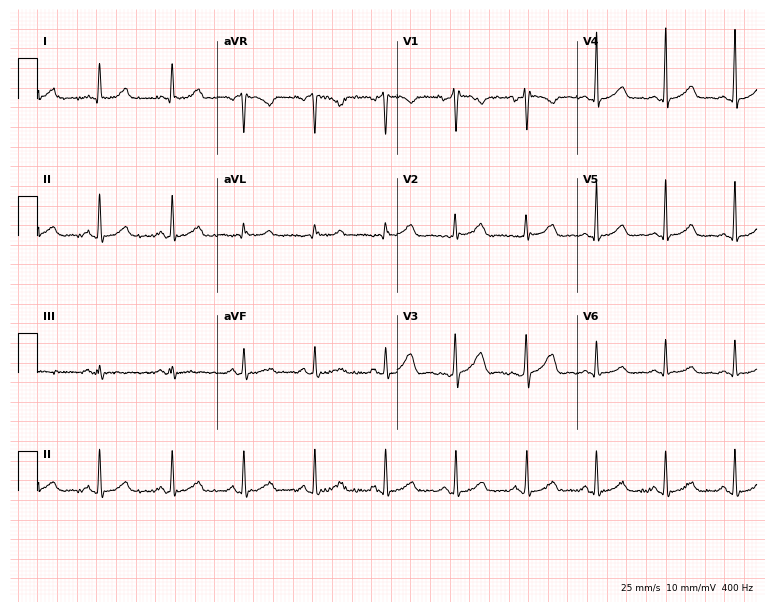
Standard 12-lead ECG recorded from a 42-year-old female. Read as a normal ECG.